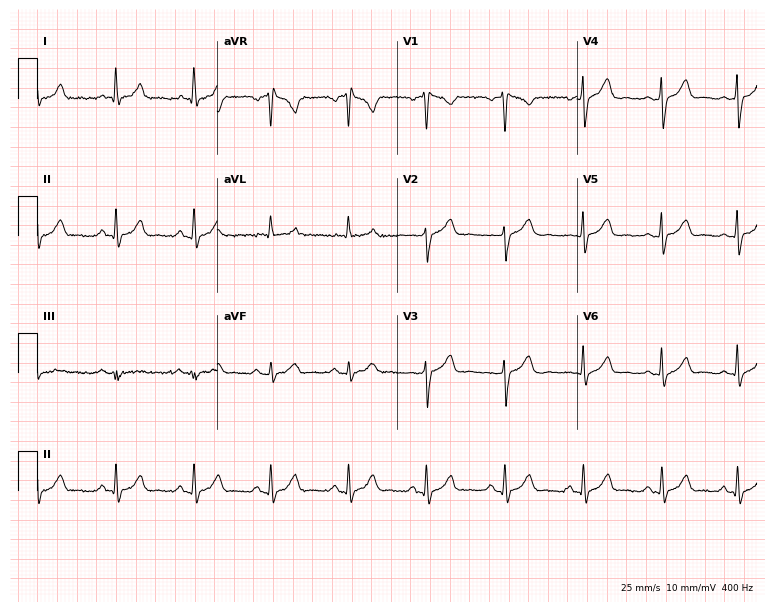
ECG (7.3-second recording at 400 Hz) — a 33-year-old male. Screened for six findings — first-degree AV block, right bundle branch block, left bundle branch block, sinus bradycardia, atrial fibrillation, sinus tachycardia — none is recorded.